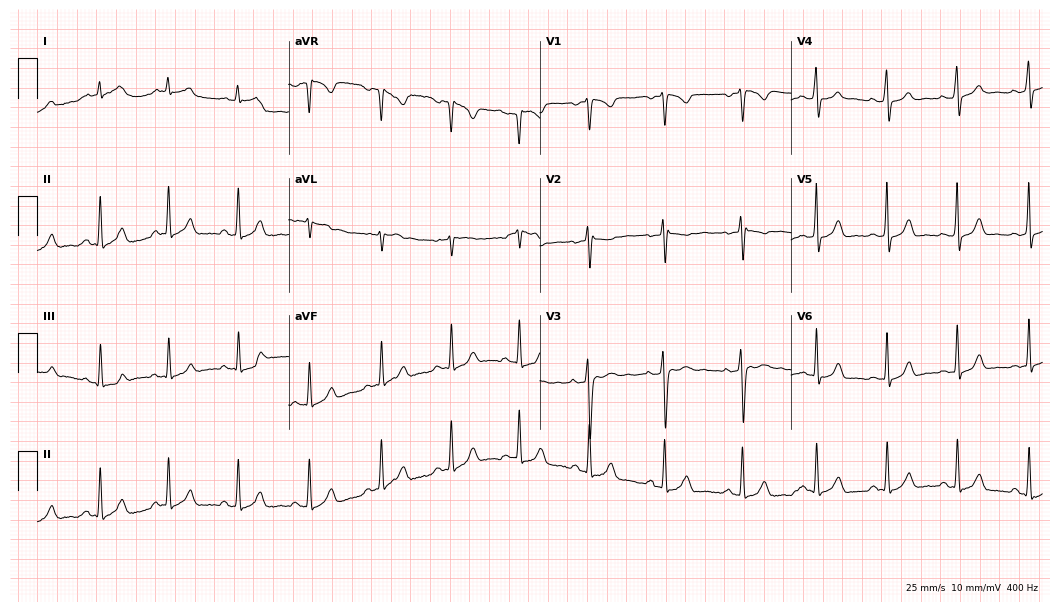
ECG — an 18-year-old female. Labelled as a normal ECG.